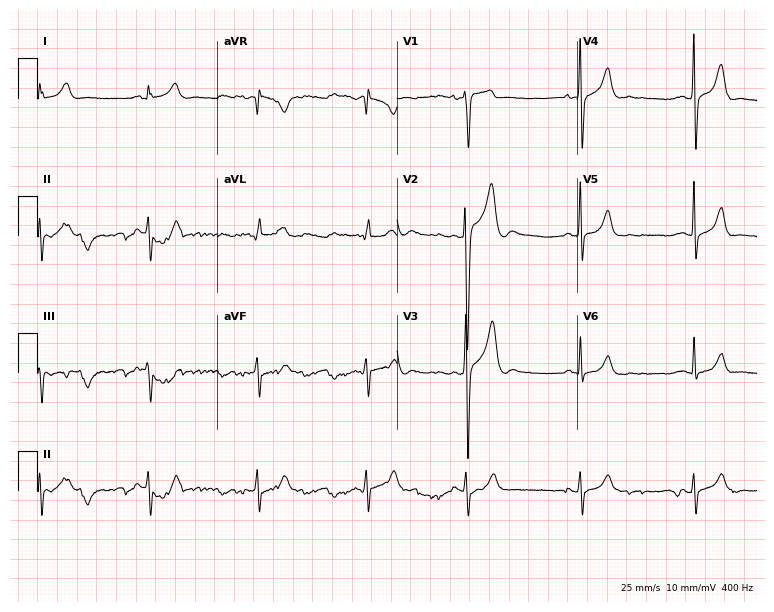
Standard 12-lead ECG recorded from a 23-year-old man. None of these six findings is recorded: first-degree AV block, right bundle branch block, left bundle branch block, sinus bradycardia, atrial fibrillation, sinus tachycardia.